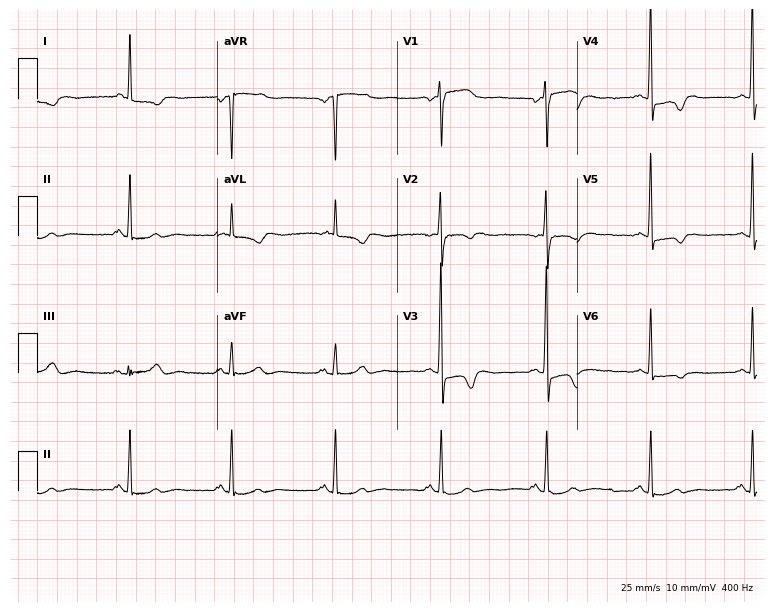
Electrocardiogram (7.3-second recording at 400 Hz), a 74-year-old female patient. Of the six screened findings (first-degree AV block, right bundle branch block, left bundle branch block, sinus bradycardia, atrial fibrillation, sinus tachycardia), none is recorded.